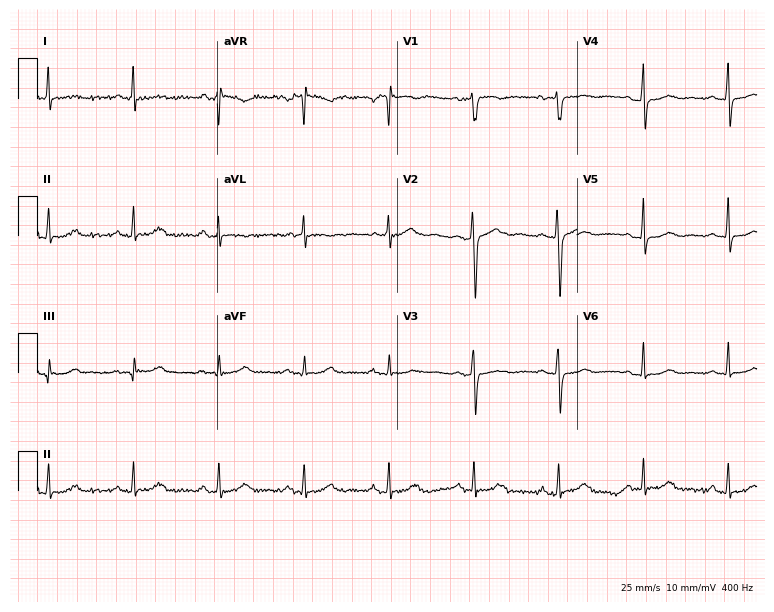
12-lead ECG from a woman, 70 years old (7.3-second recording at 400 Hz). No first-degree AV block, right bundle branch block (RBBB), left bundle branch block (LBBB), sinus bradycardia, atrial fibrillation (AF) or sinus tachycardia recorded for this tracing.